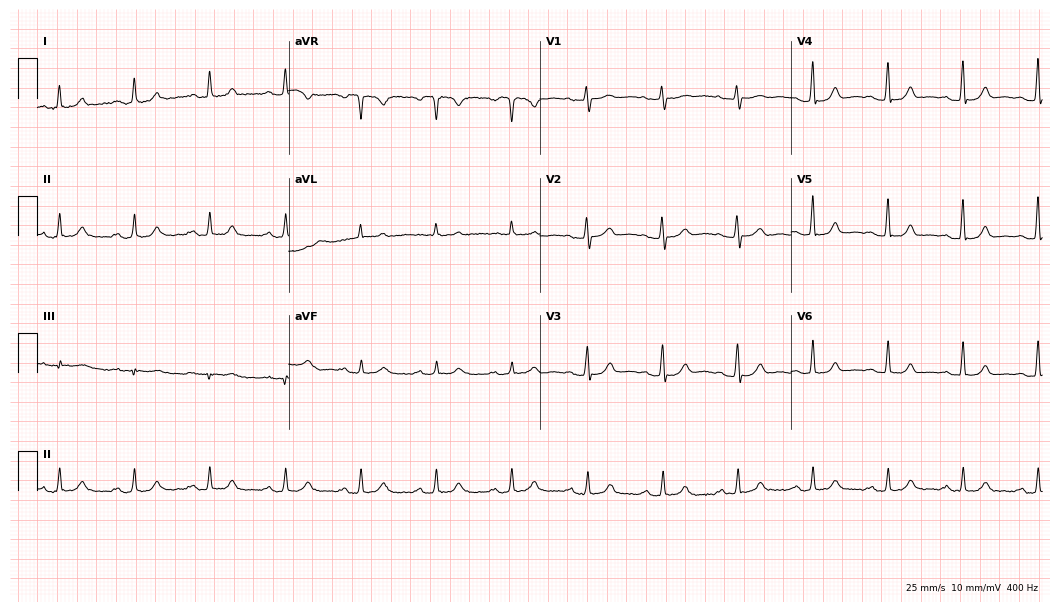
Electrocardiogram, a female, 73 years old. Of the six screened findings (first-degree AV block, right bundle branch block, left bundle branch block, sinus bradycardia, atrial fibrillation, sinus tachycardia), none is recorded. Findings outside these six are not listed.